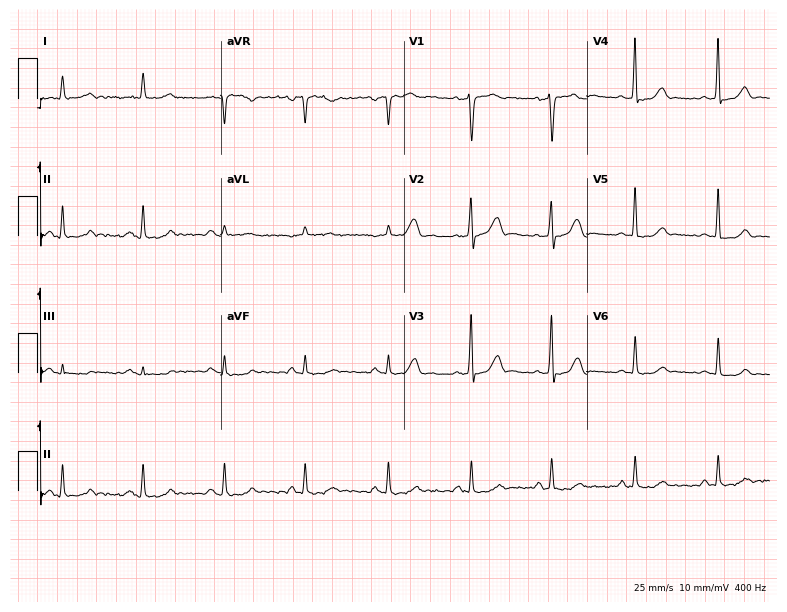
ECG (7.5-second recording at 400 Hz) — a female, 41 years old. Labelled as a normal ECG.